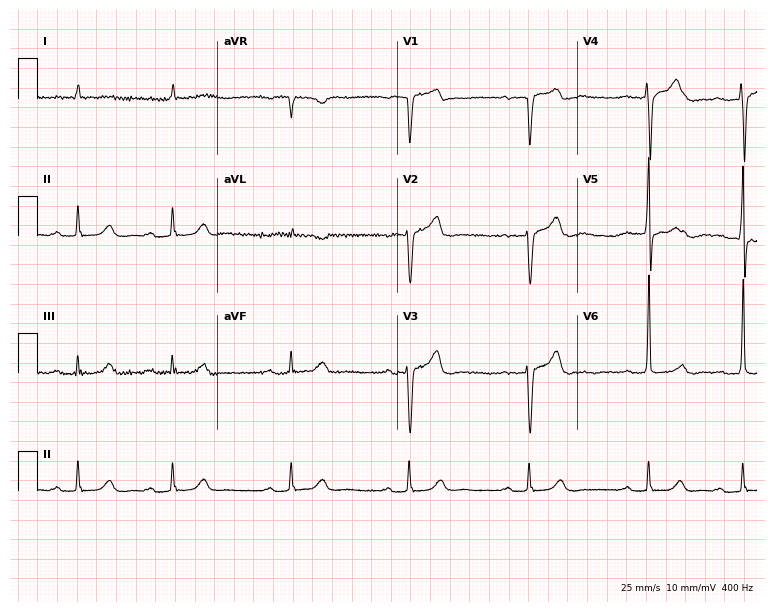
Resting 12-lead electrocardiogram. Patient: a male, 83 years old. The tracing shows first-degree AV block, atrial fibrillation.